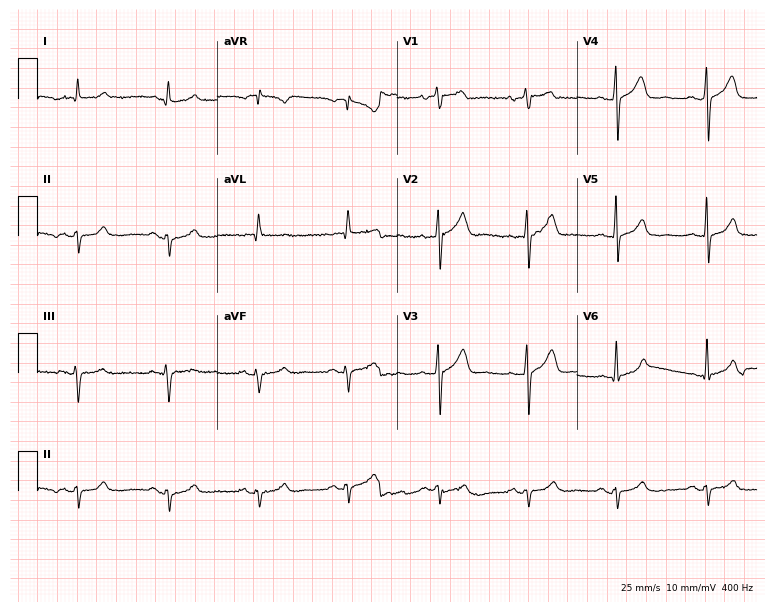
Standard 12-lead ECG recorded from a male, 58 years old (7.3-second recording at 400 Hz). None of these six findings is recorded: first-degree AV block, right bundle branch block, left bundle branch block, sinus bradycardia, atrial fibrillation, sinus tachycardia. Findings outside these six are not listed.